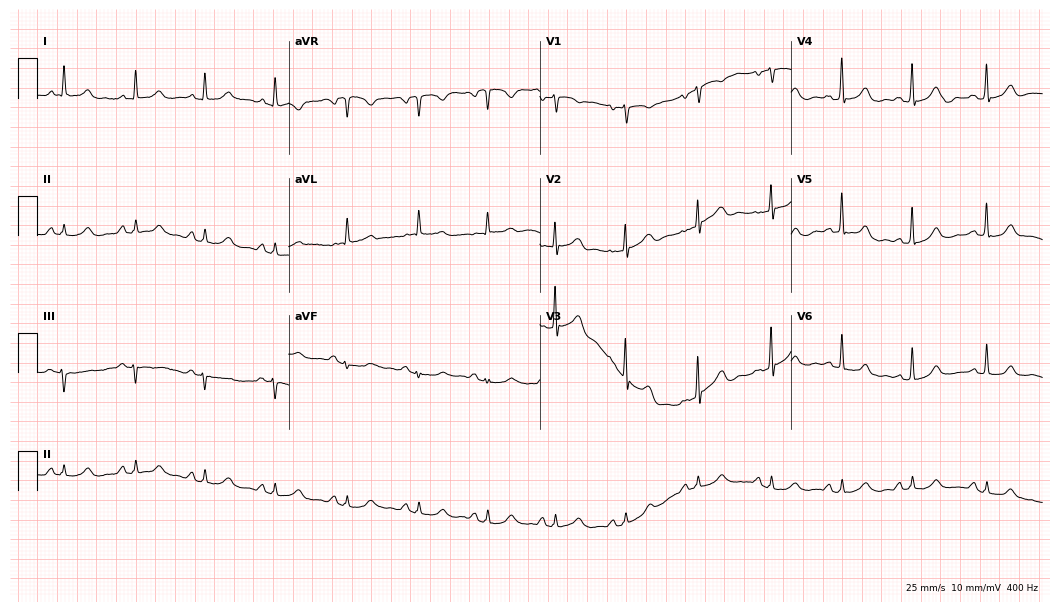
Standard 12-lead ECG recorded from a 63-year-old female patient. Read as a normal ECG.